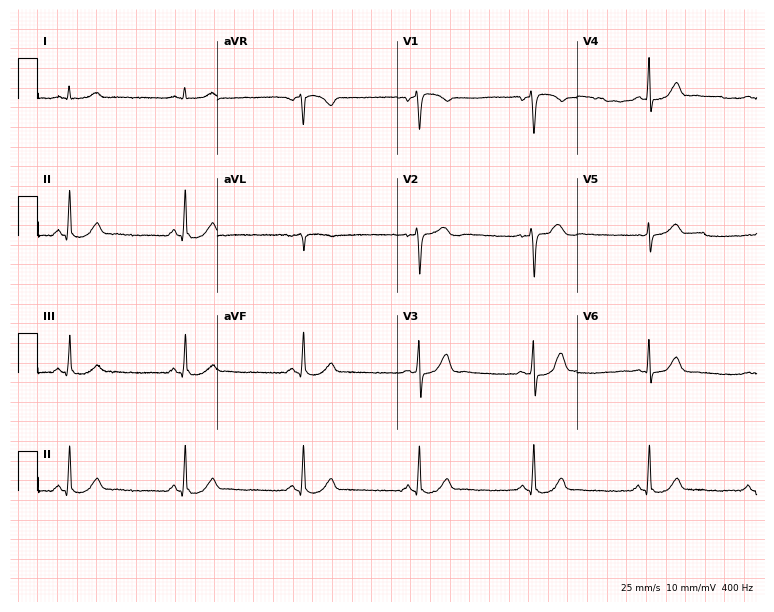
12-lead ECG from a male patient, 56 years old (7.3-second recording at 400 Hz). No first-degree AV block, right bundle branch block (RBBB), left bundle branch block (LBBB), sinus bradycardia, atrial fibrillation (AF) or sinus tachycardia recorded for this tracing. Findings outside these six are not listed.